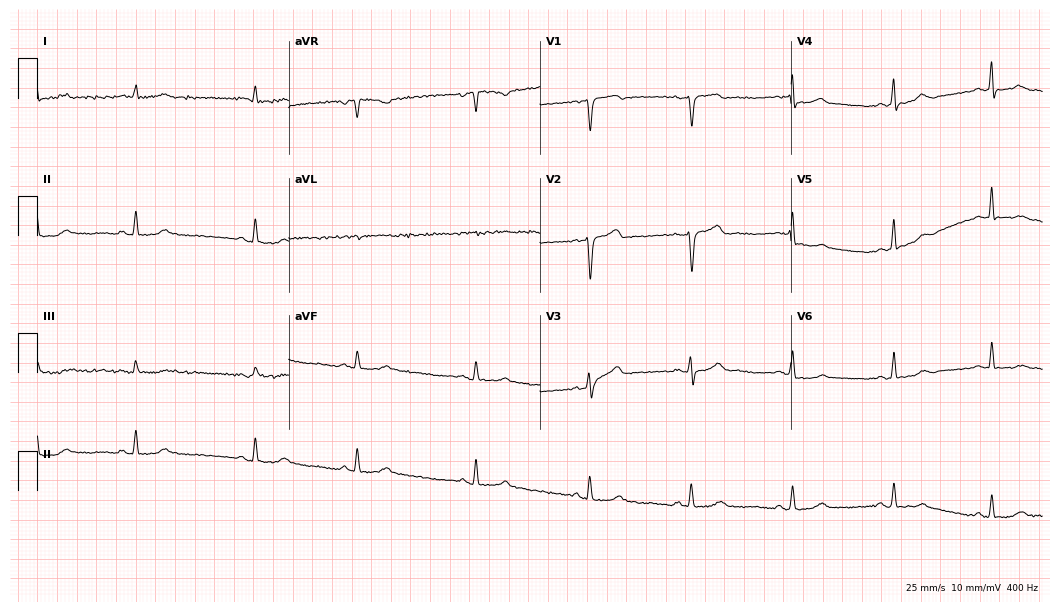
Electrocardiogram (10.2-second recording at 400 Hz), a female, 42 years old. Overall reading on record: normal ECG.